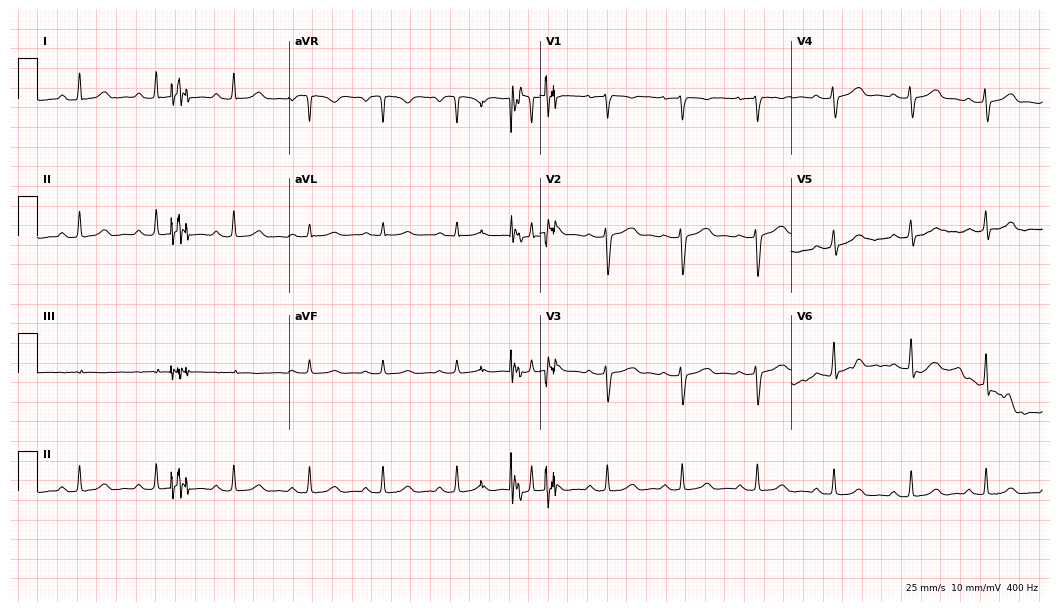
Resting 12-lead electrocardiogram (10.2-second recording at 400 Hz). Patient: a 29-year-old woman. Read as a normal ECG.